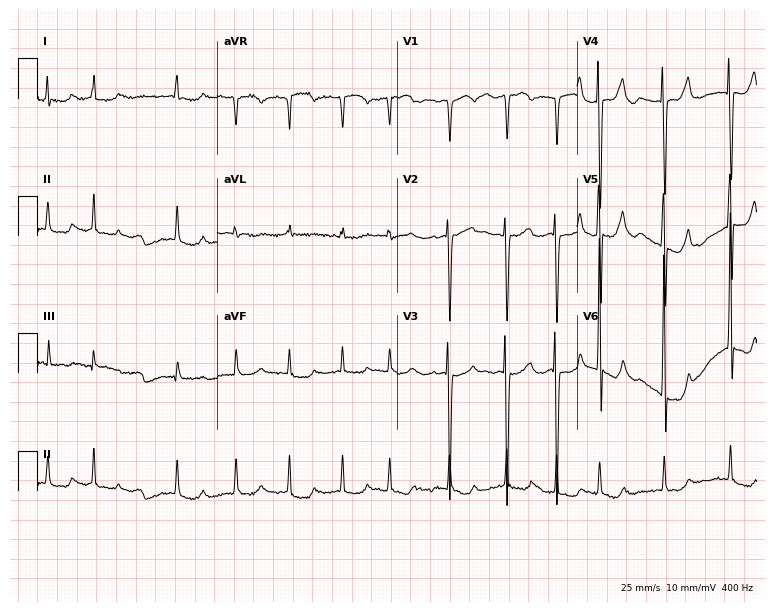
12-lead ECG from a 72-year-old female patient. Findings include atrial fibrillation (AF).